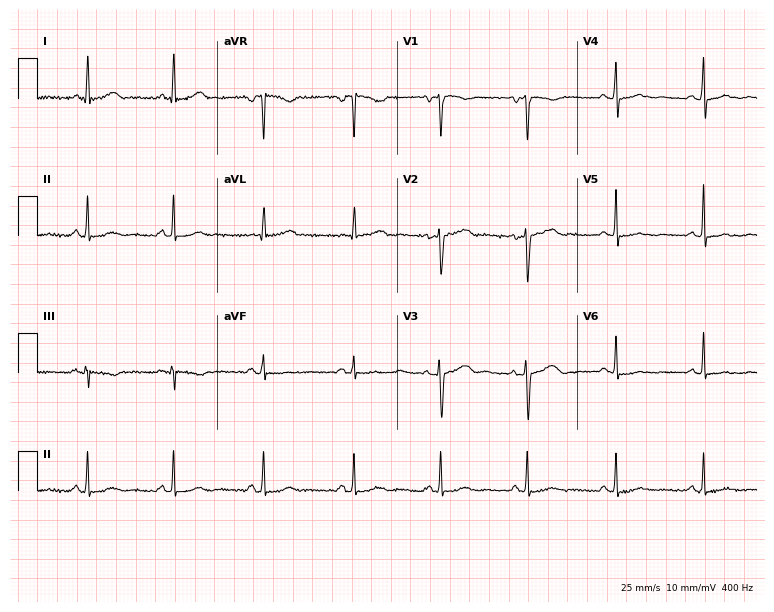
12-lead ECG from a female patient, 44 years old (7.3-second recording at 400 Hz). Recorded interpretation: within normal limits.